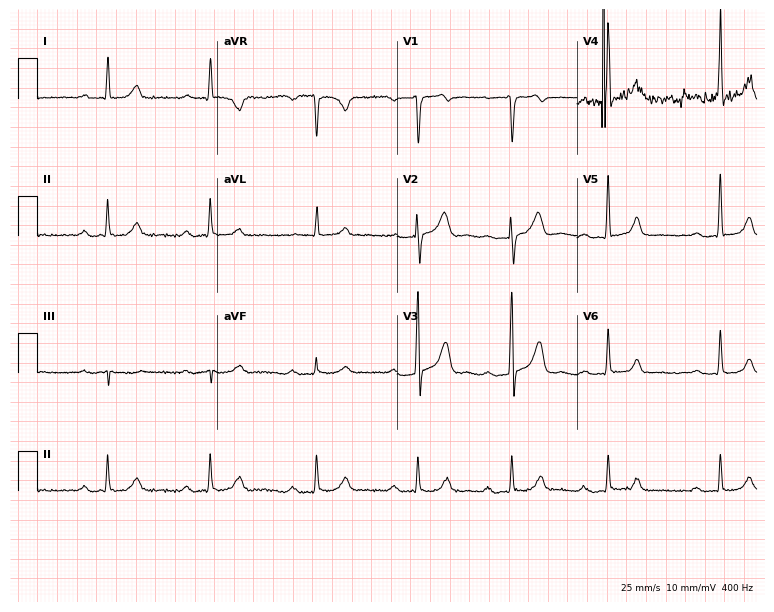
Resting 12-lead electrocardiogram. Patient: a male, 52 years old. None of these six findings is recorded: first-degree AV block, right bundle branch block (RBBB), left bundle branch block (LBBB), sinus bradycardia, atrial fibrillation (AF), sinus tachycardia.